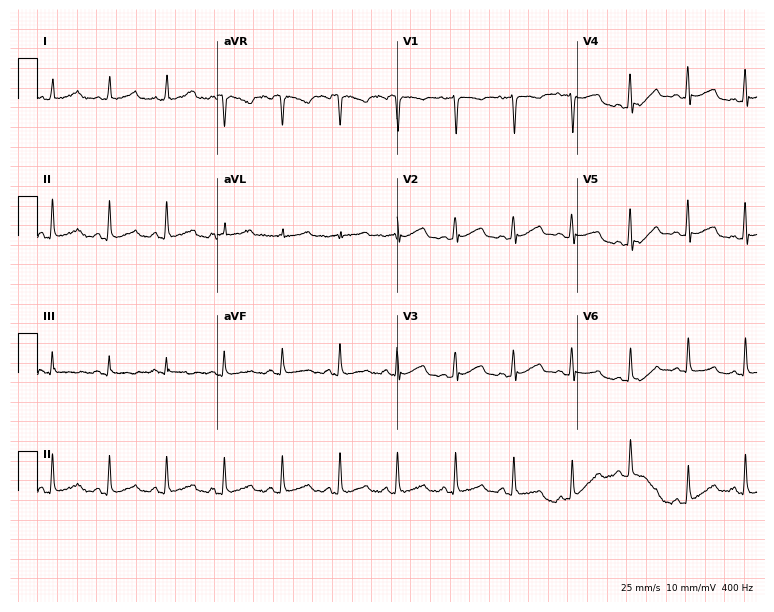
12-lead ECG from a female, 32 years old. Shows sinus tachycardia (a sinus rate of 100 beats per minute or more).